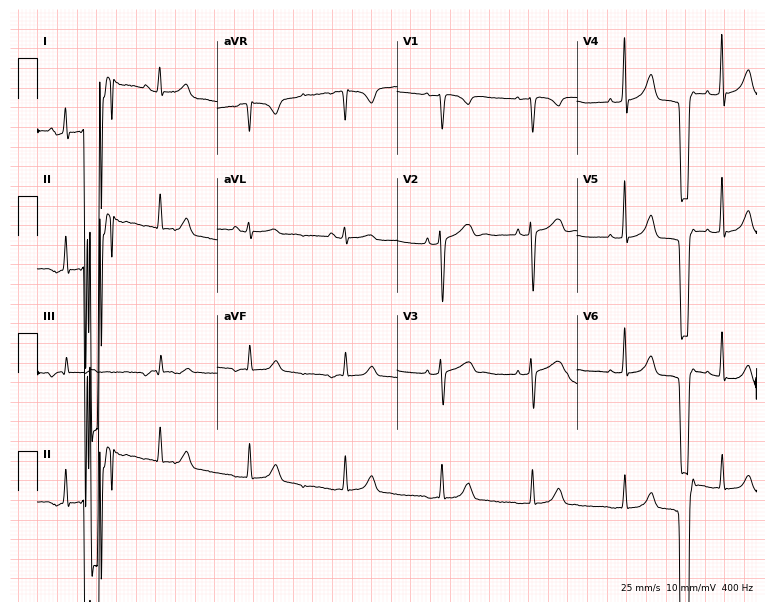
Electrocardiogram, a 38-year-old woman. Of the six screened findings (first-degree AV block, right bundle branch block (RBBB), left bundle branch block (LBBB), sinus bradycardia, atrial fibrillation (AF), sinus tachycardia), none is recorded. Other findings, if any, are not listed.